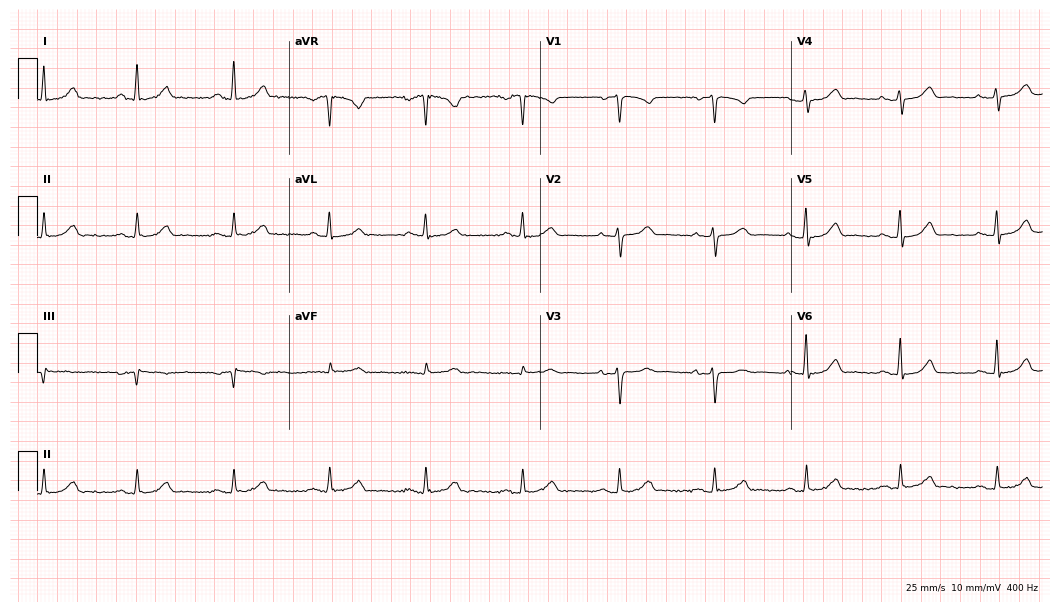
Electrocardiogram, a woman, 57 years old. Overall reading on record: normal ECG.